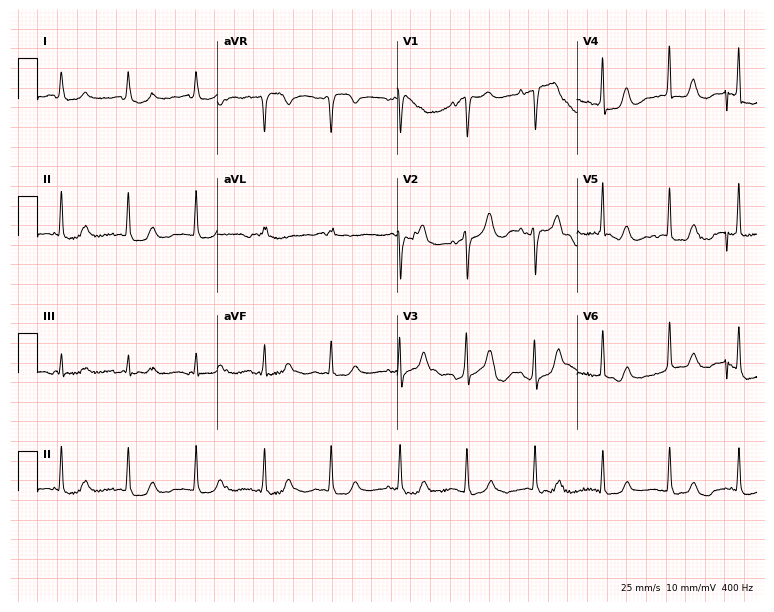
12-lead ECG (7.3-second recording at 400 Hz) from a 79-year-old female. Screened for six findings — first-degree AV block, right bundle branch block (RBBB), left bundle branch block (LBBB), sinus bradycardia, atrial fibrillation (AF), sinus tachycardia — none is recorded. Only these six findings were labelled.